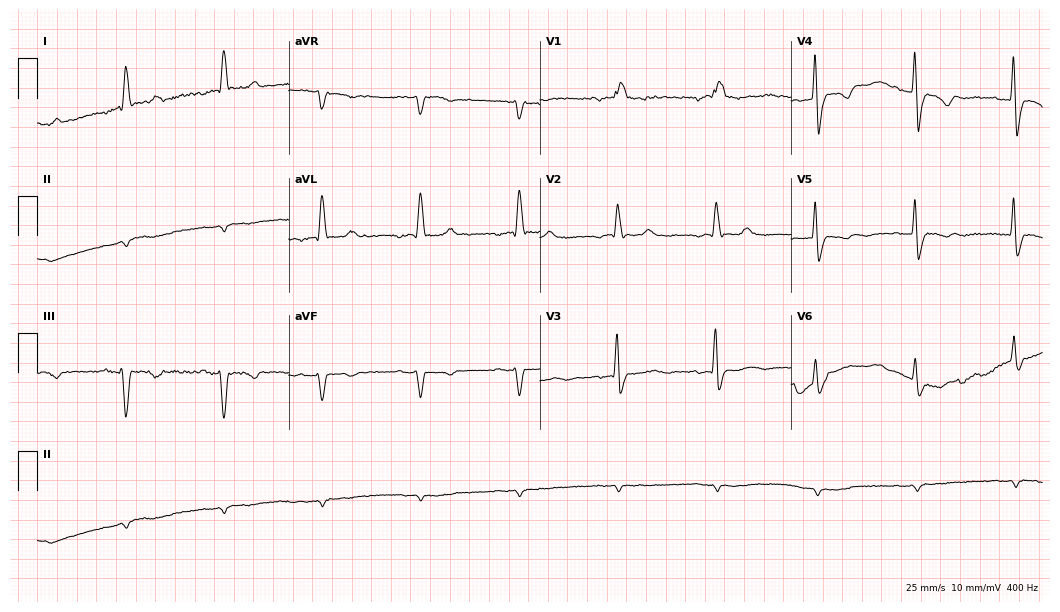
ECG — a male, 85 years old. Findings include right bundle branch block.